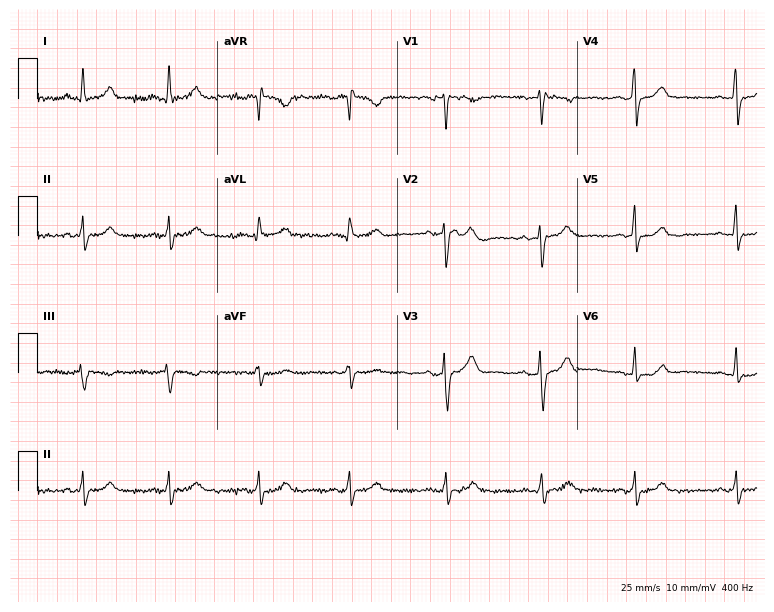
ECG — a woman, 43 years old. Labelled as a normal ECG.